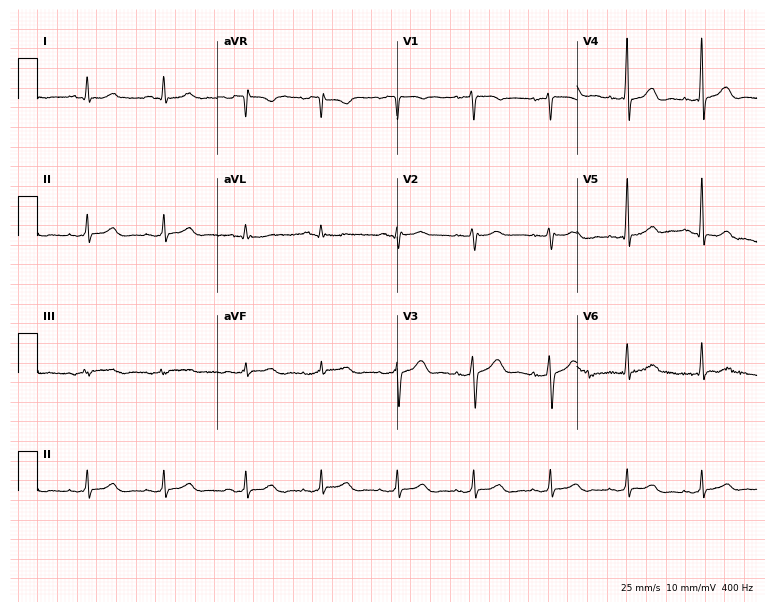
Resting 12-lead electrocardiogram. Patient: a woman, 48 years old. Read as a normal ECG.